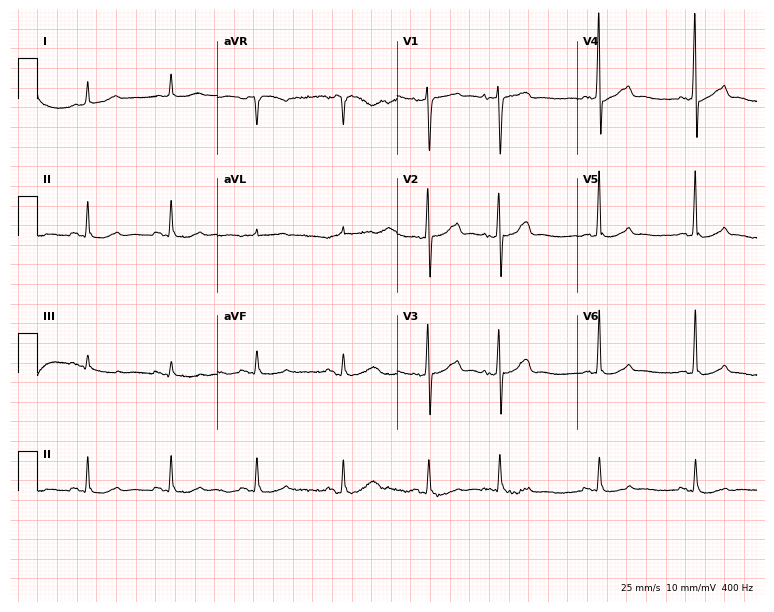
12-lead ECG from an 84-year-old man. Screened for six findings — first-degree AV block, right bundle branch block, left bundle branch block, sinus bradycardia, atrial fibrillation, sinus tachycardia — none is recorded.